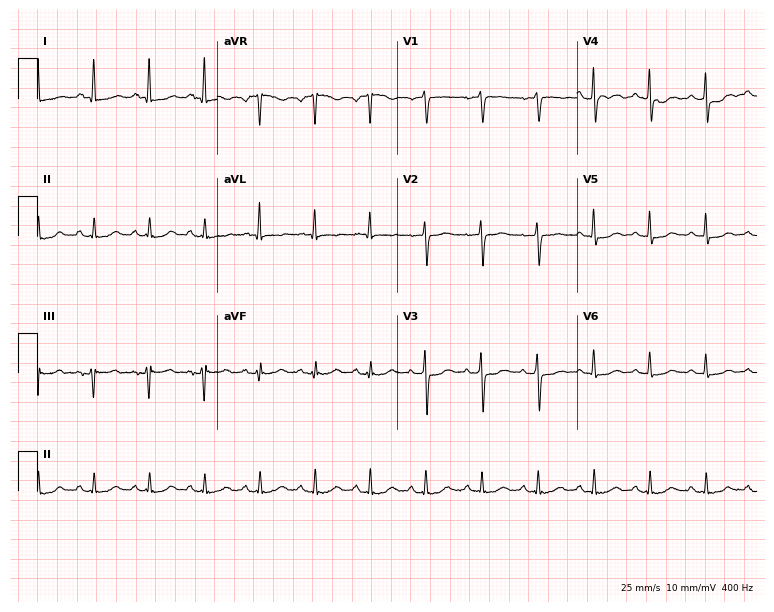
Resting 12-lead electrocardiogram. Patient: a female, 69 years old. The tracing shows sinus tachycardia (a sinus rate of 100 beats per minute or more).